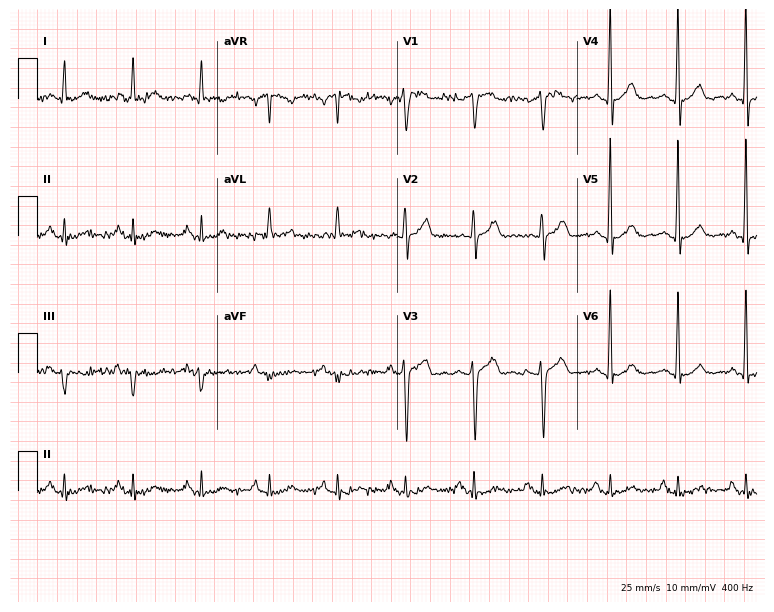
Standard 12-lead ECG recorded from a 73-year-old man (7.3-second recording at 400 Hz). Read as a normal ECG.